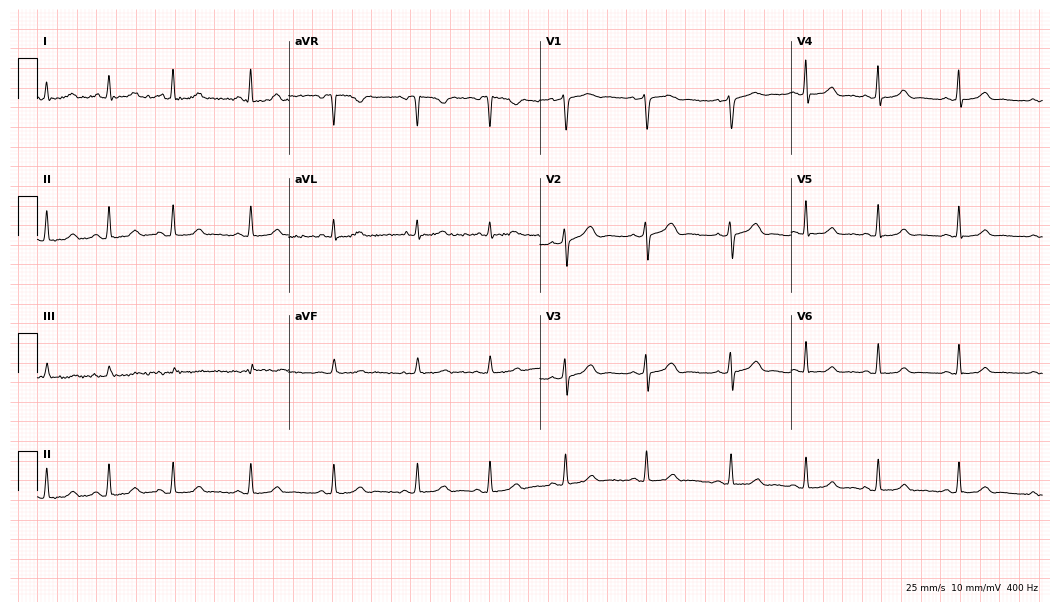
12-lead ECG from a 28-year-old female. Screened for six findings — first-degree AV block, right bundle branch block, left bundle branch block, sinus bradycardia, atrial fibrillation, sinus tachycardia — none is recorded.